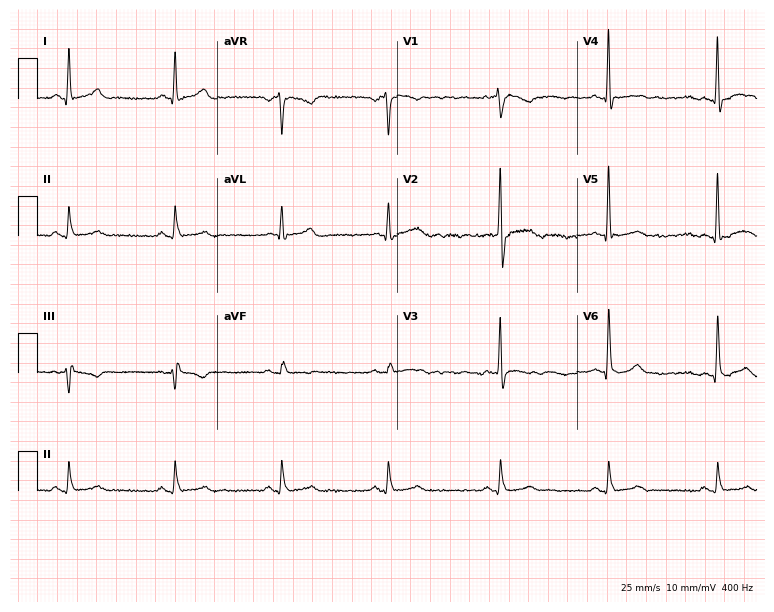
ECG — a 44-year-old male. Screened for six findings — first-degree AV block, right bundle branch block (RBBB), left bundle branch block (LBBB), sinus bradycardia, atrial fibrillation (AF), sinus tachycardia — none is recorded. Only these six findings were labelled.